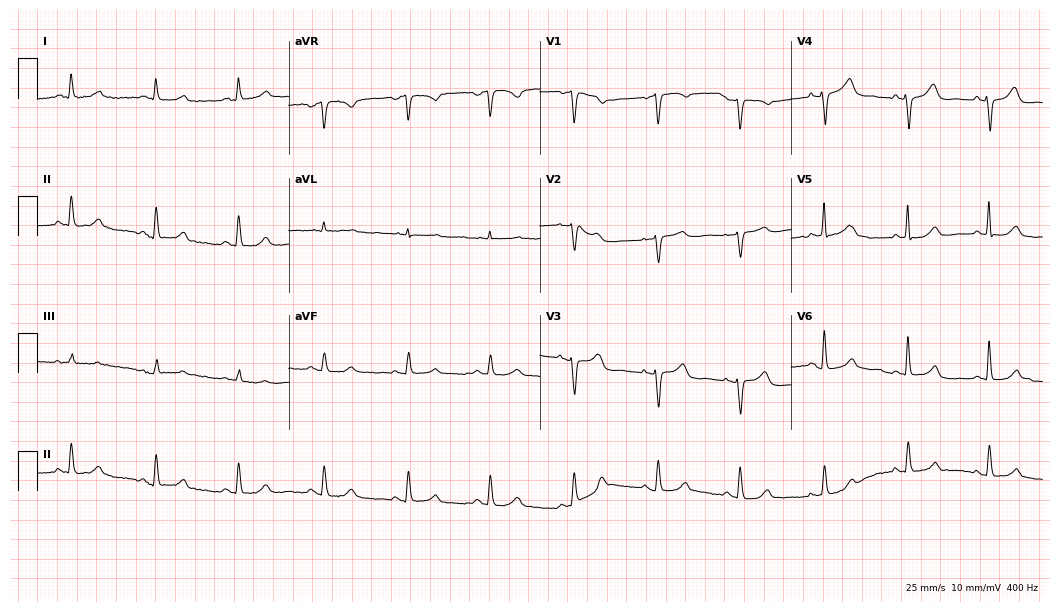
ECG (10.2-second recording at 400 Hz) — a female, 41 years old. Screened for six findings — first-degree AV block, right bundle branch block, left bundle branch block, sinus bradycardia, atrial fibrillation, sinus tachycardia — none is recorded.